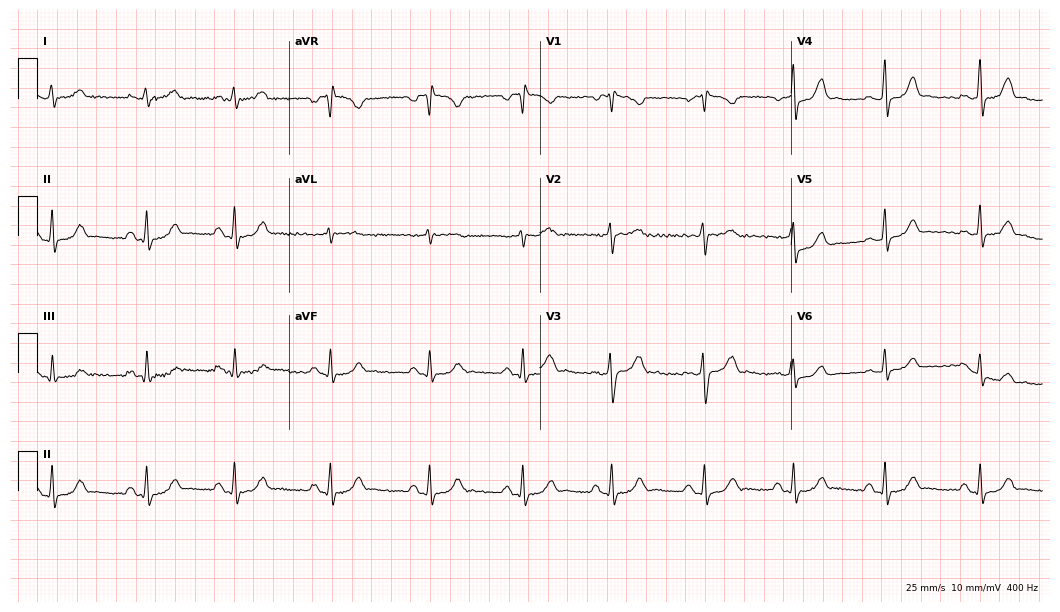
Standard 12-lead ECG recorded from a woman, 32 years old (10.2-second recording at 400 Hz). None of these six findings is recorded: first-degree AV block, right bundle branch block, left bundle branch block, sinus bradycardia, atrial fibrillation, sinus tachycardia.